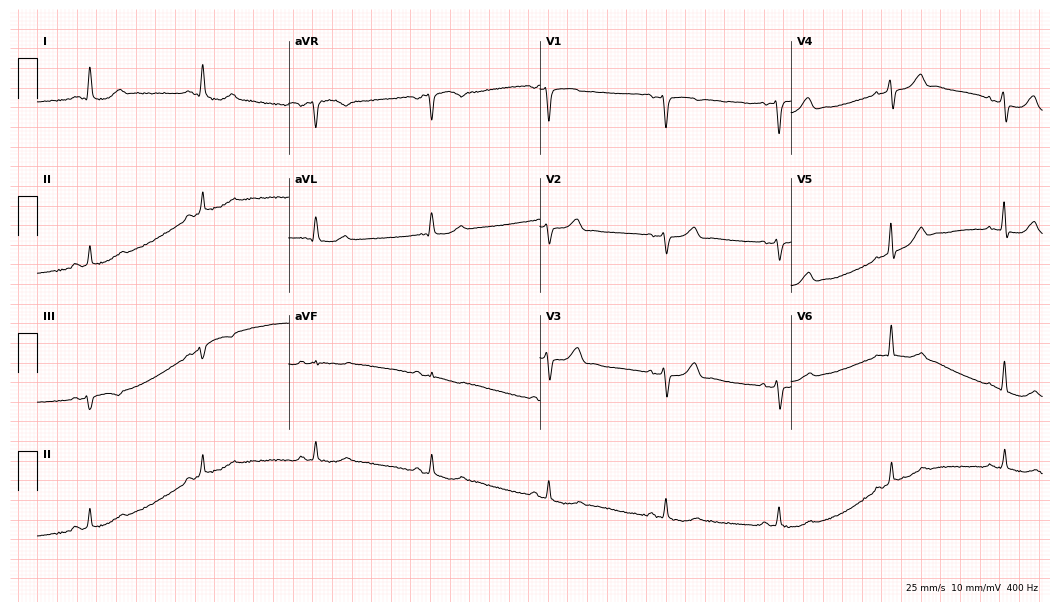
ECG — a 62-year-old female. Labelled as a normal ECG.